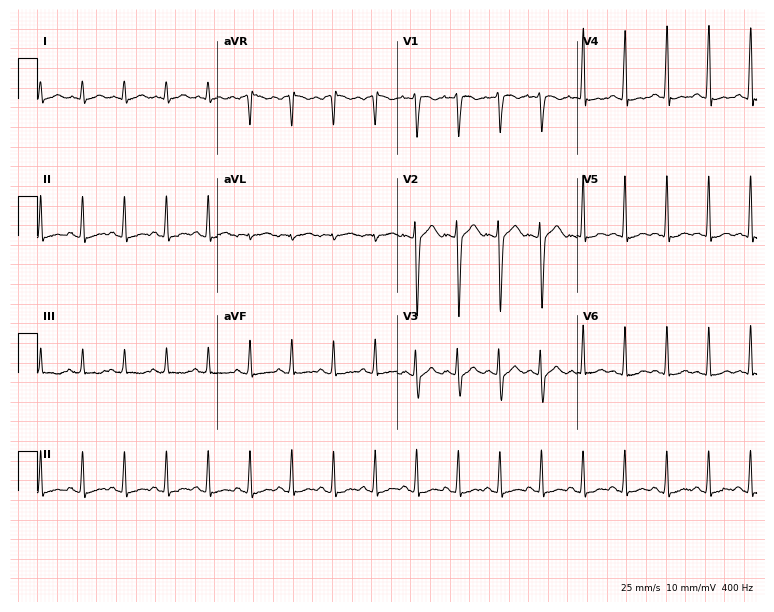
Electrocardiogram, a 20-year-old female patient. Interpretation includes sinus tachycardia (a sinus rate of 100 beats per minute or more).